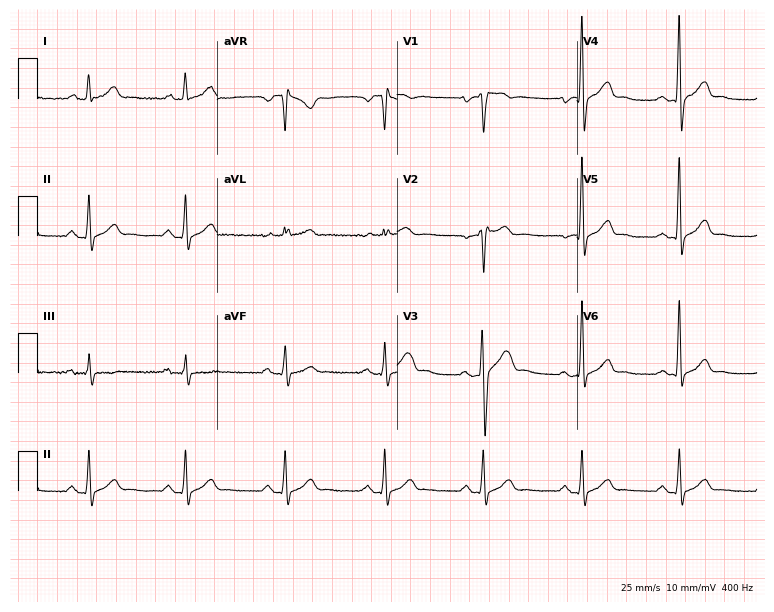
Resting 12-lead electrocardiogram (7.3-second recording at 400 Hz). Patient: a man, 33 years old. Read as a normal ECG.